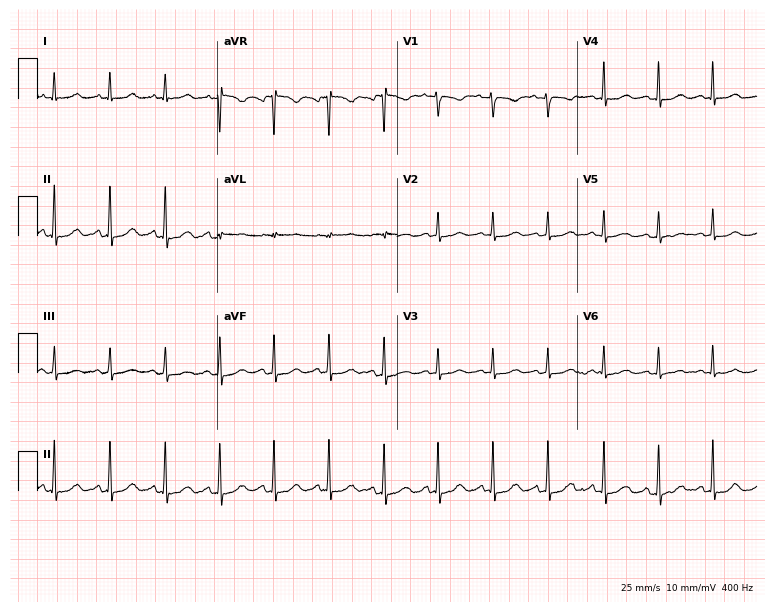
12-lead ECG from a female, 26 years old (7.3-second recording at 400 Hz). No first-degree AV block, right bundle branch block, left bundle branch block, sinus bradycardia, atrial fibrillation or sinus tachycardia recorded for this tracing.